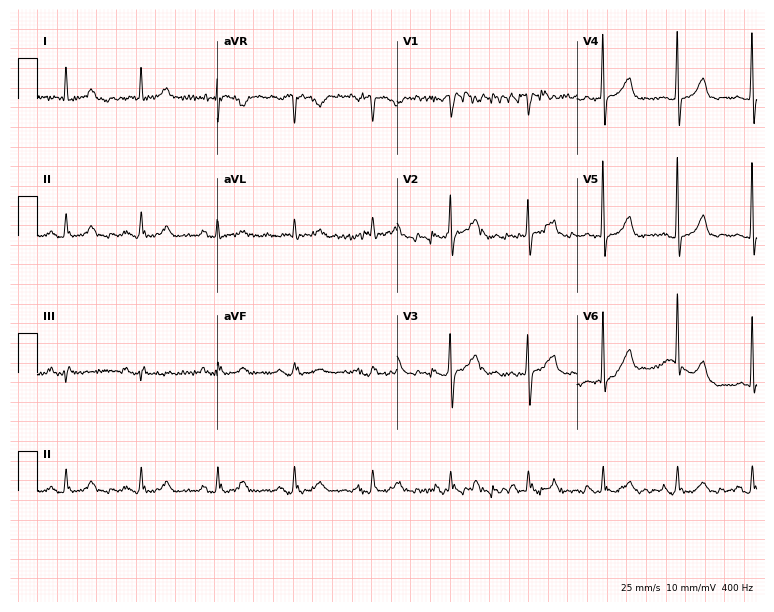
Standard 12-lead ECG recorded from a female, 70 years old. Read as a normal ECG.